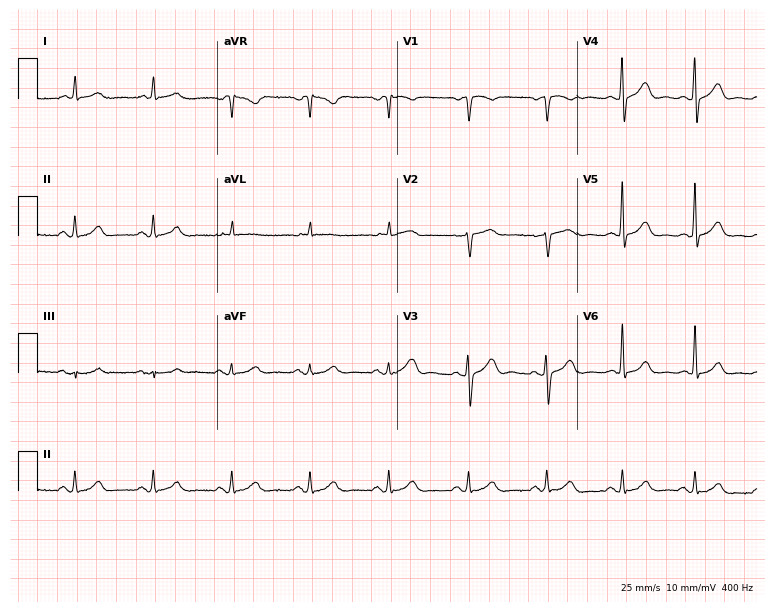
ECG — a man, 60 years old. Screened for six findings — first-degree AV block, right bundle branch block, left bundle branch block, sinus bradycardia, atrial fibrillation, sinus tachycardia — none is recorded.